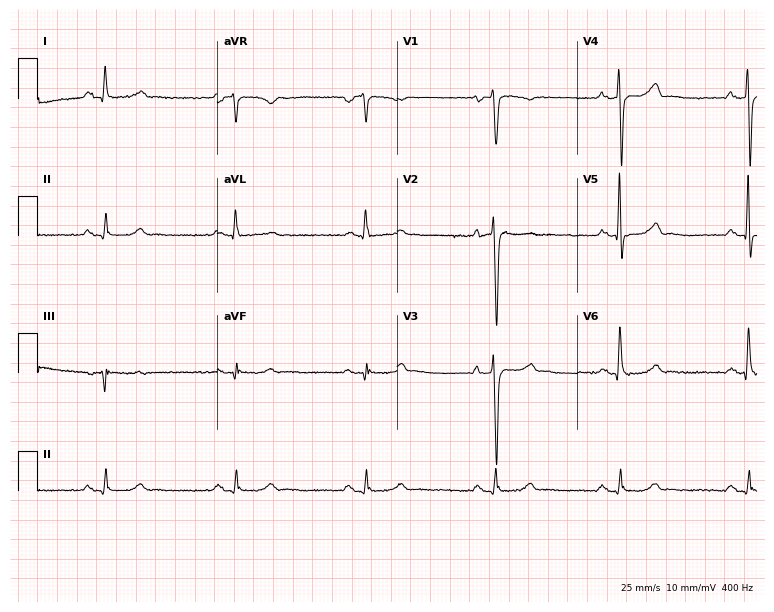
Resting 12-lead electrocardiogram (7.3-second recording at 400 Hz). Patient: a male, 57 years old. The tracing shows sinus bradycardia (a sinus rate of 50 beats per minute or less).